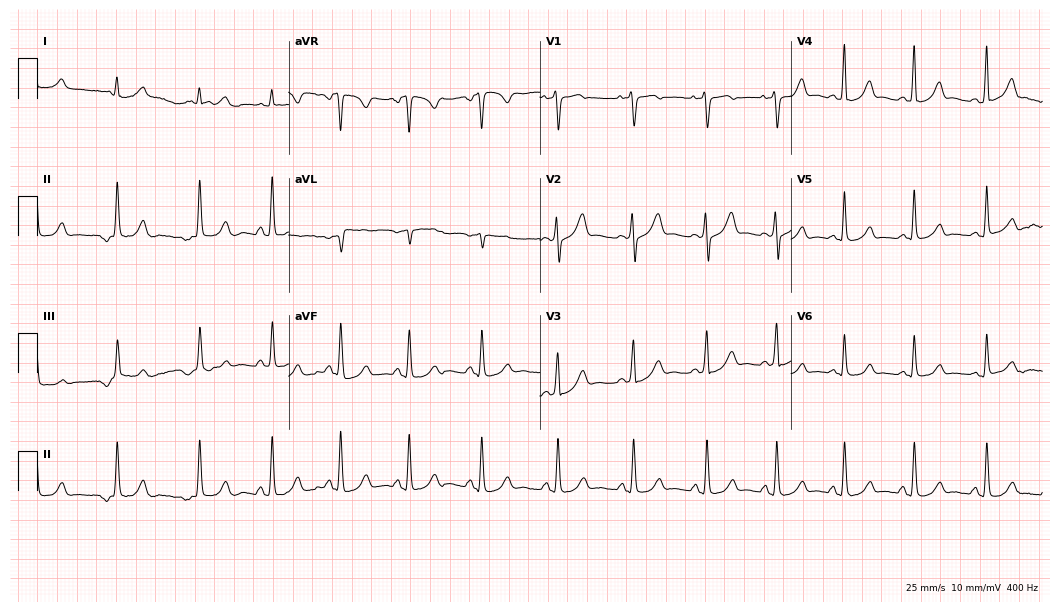
Resting 12-lead electrocardiogram. Patient: a 27-year-old female. None of these six findings is recorded: first-degree AV block, right bundle branch block (RBBB), left bundle branch block (LBBB), sinus bradycardia, atrial fibrillation (AF), sinus tachycardia. Findings outside these six are not listed.